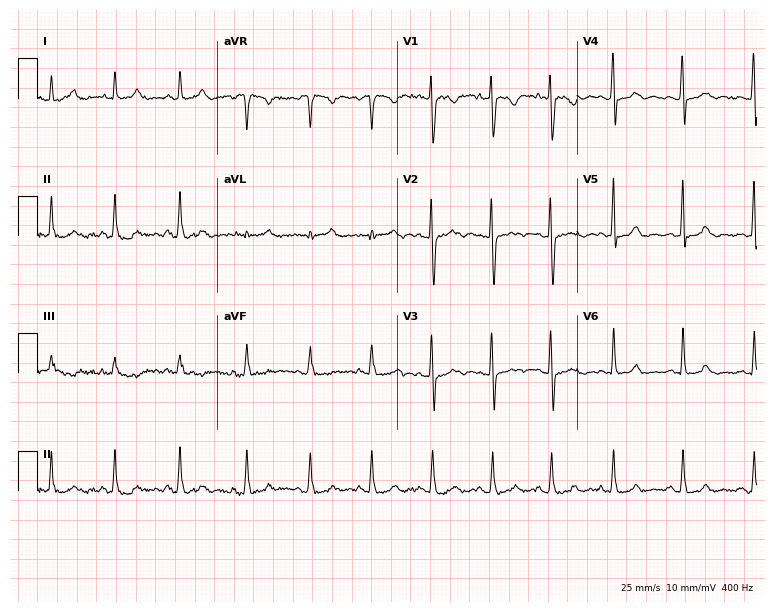
12-lead ECG from a female patient, 26 years old (7.3-second recording at 400 Hz). No first-degree AV block, right bundle branch block, left bundle branch block, sinus bradycardia, atrial fibrillation or sinus tachycardia recorded for this tracing. Only these six findings were labelled.